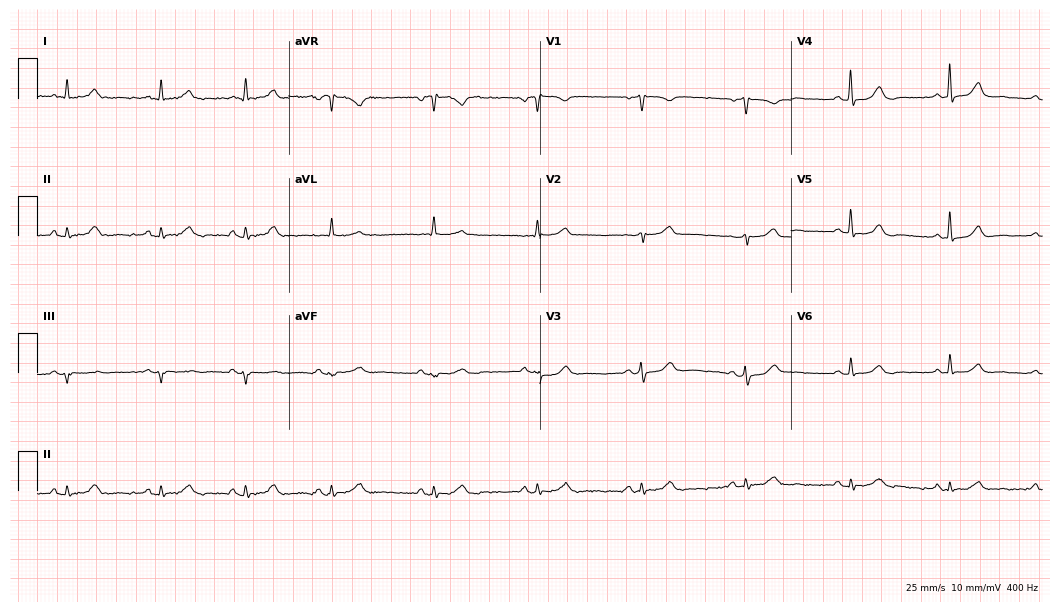
12-lead ECG from a female, 64 years old. Recorded interpretation: within normal limits.